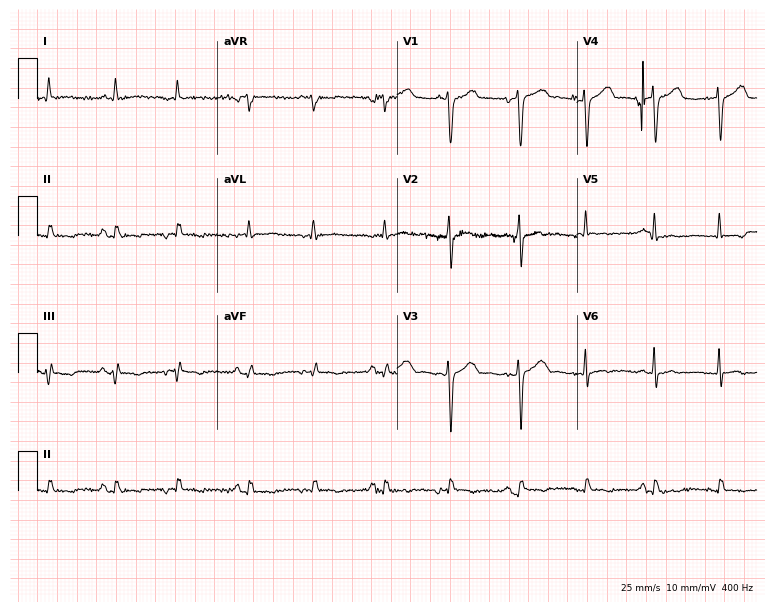
ECG (7.3-second recording at 400 Hz) — a male patient, 81 years old. Screened for six findings — first-degree AV block, right bundle branch block (RBBB), left bundle branch block (LBBB), sinus bradycardia, atrial fibrillation (AF), sinus tachycardia — none is recorded.